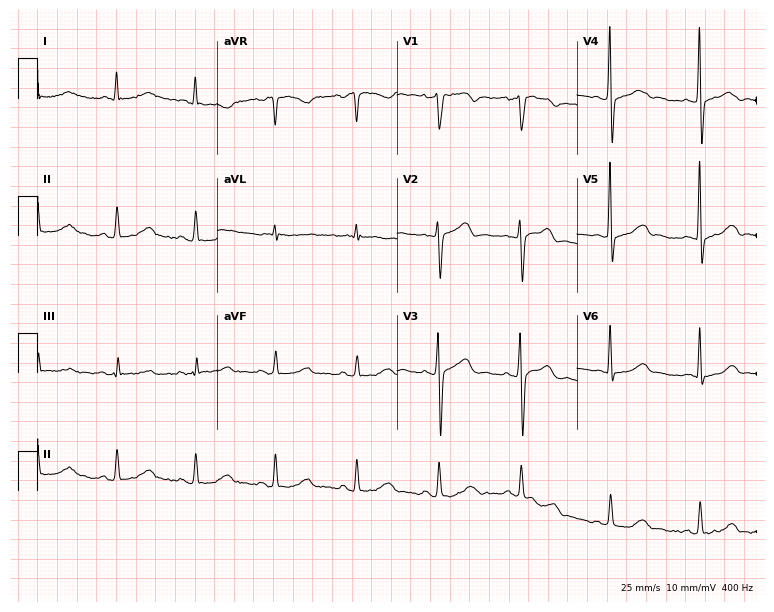
ECG (7.3-second recording at 400 Hz) — a 53-year-old man. Screened for six findings — first-degree AV block, right bundle branch block, left bundle branch block, sinus bradycardia, atrial fibrillation, sinus tachycardia — none is recorded.